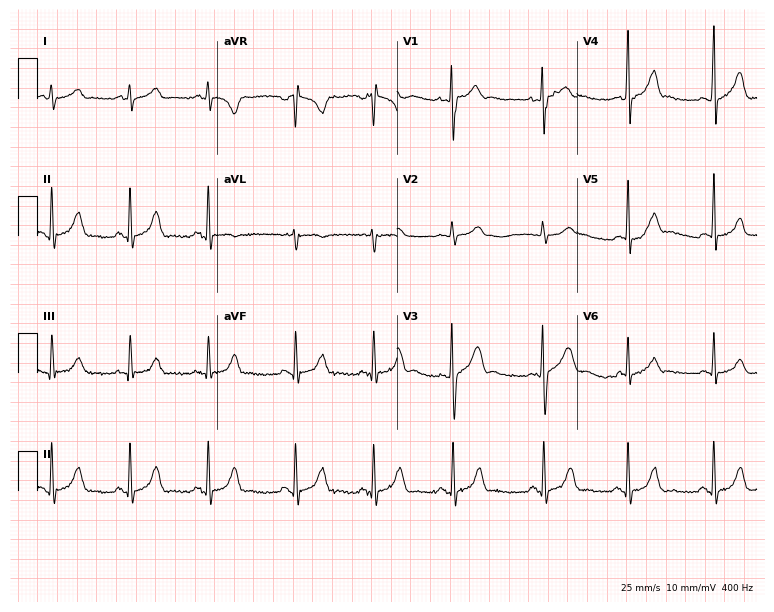
12-lead ECG from a 17-year-old male (7.3-second recording at 400 Hz). Recorded interpretation: within normal limits.